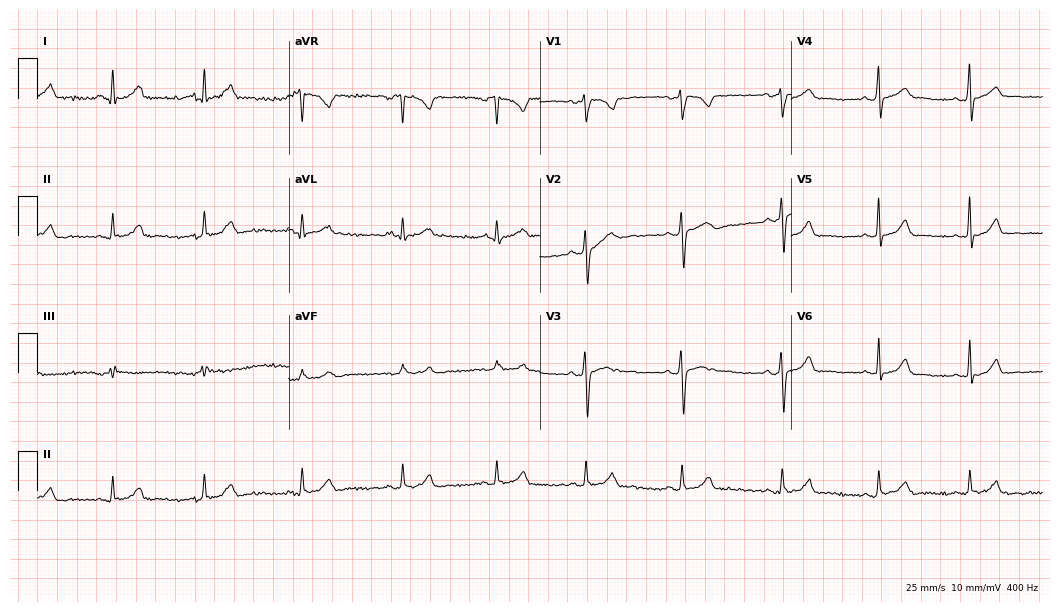
ECG — a 27-year-old woman. Labelled as a normal ECG.